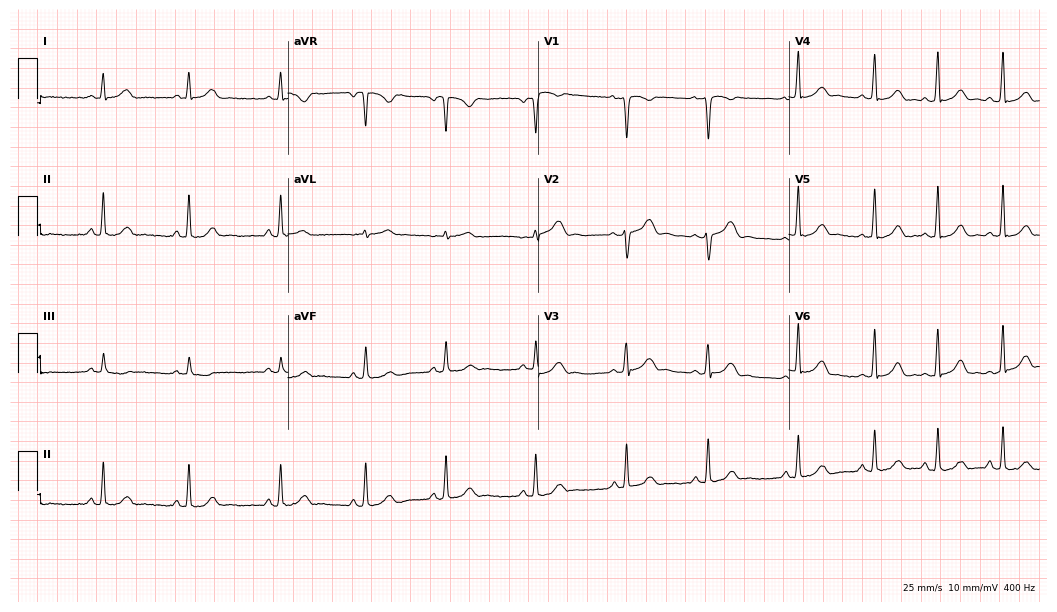
12-lead ECG from a woman, 25 years old. Recorded interpretation: within normal limits.